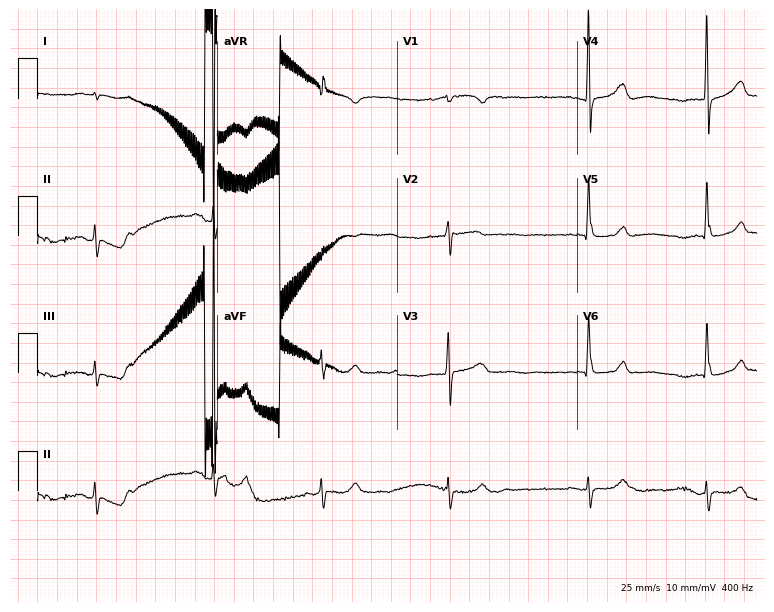
Standard 12-lead ECG recorded from a 74-year-old woman. None of these six findings is recorded: first-degree AV block, right bundle branch block, left bundle branch block, sinus bradycardia, atrial fibrillation, sinus tachycardia. Other findings, if any, are not listed.